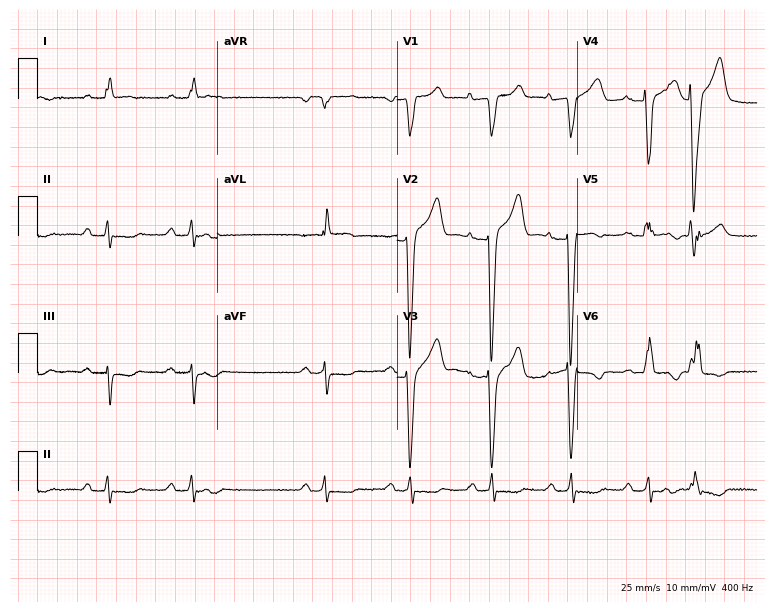
Electrocardiogram (7.3-second recording at 400 Hz), a 69-year-old male. Of the six screened findings (first-degree AV block, right bundle branch block, left bundle branch block, sinus bradycardia, atrial fibrillation, sinus tachycardia), none is recorded. Other findings, if any, are not listed.